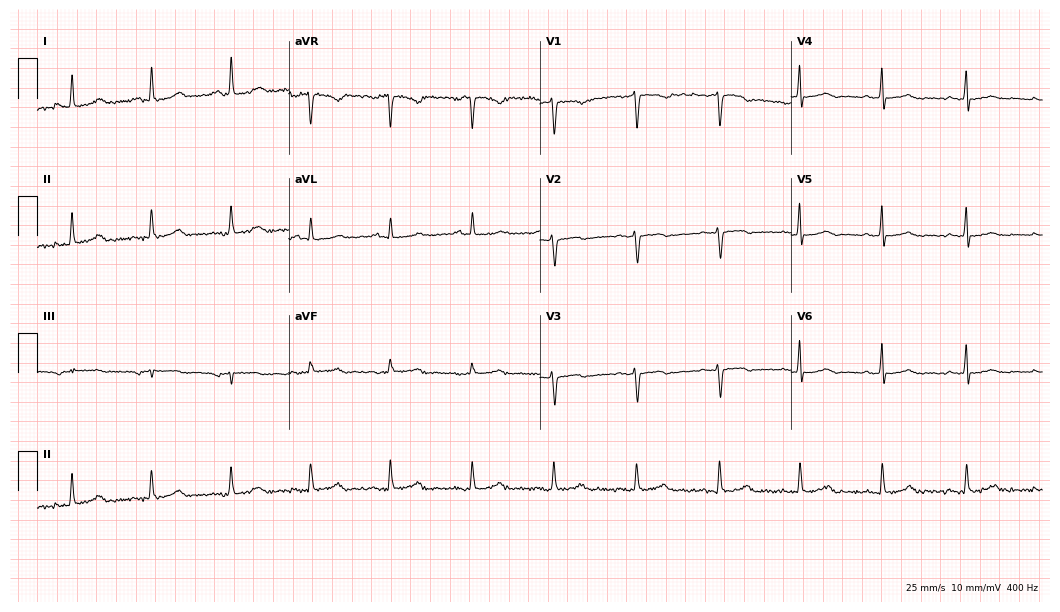
ECG (10.2-second recording at 400 Hz) — a female patient, 56 years old. Labelled as a normal ECG.